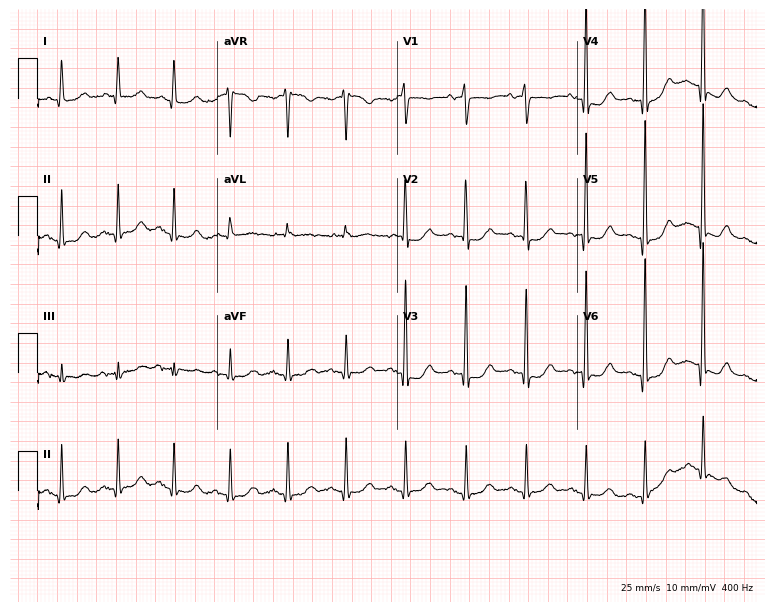
12-lead ECG from a woman, 76 years old (7.3-second recording at 400 Hz). Shows sinus tachycardia (a sinus rate of 100 beats per minute or more).